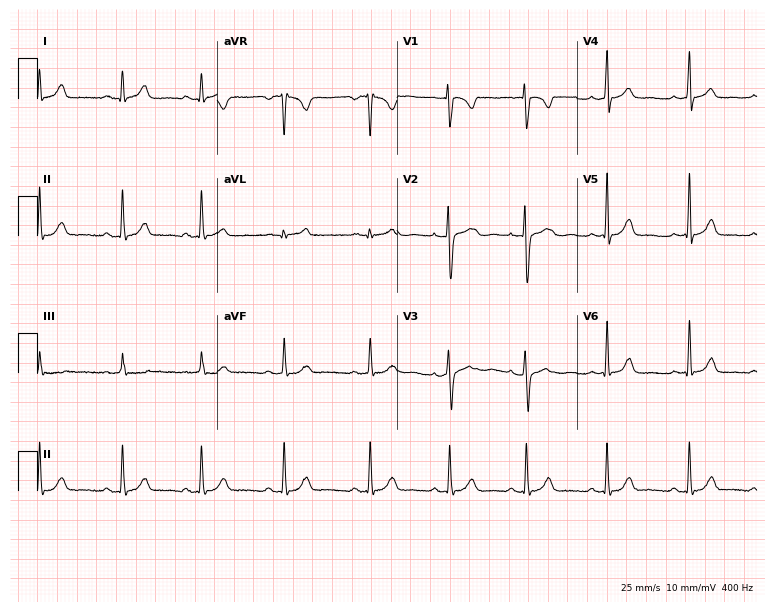
Standard 12-lead ECG recorded from a woman, 17 years old. Read as a normal ECG.